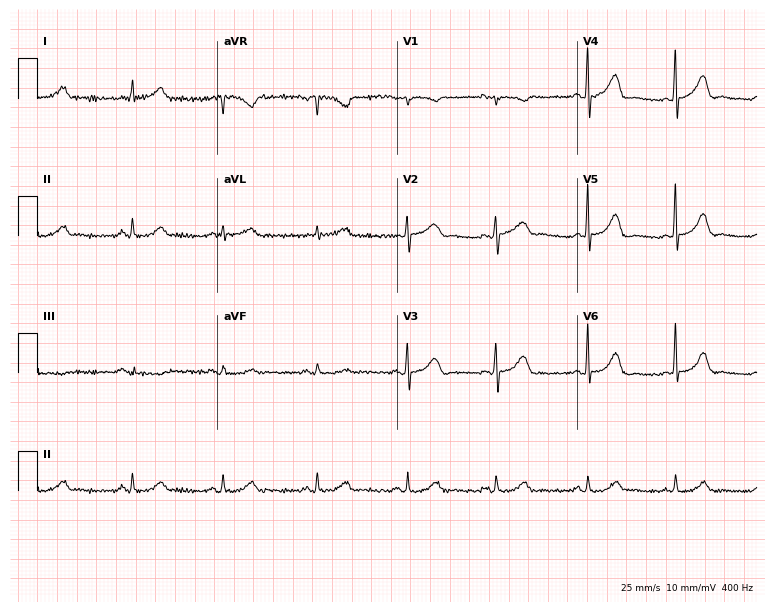
12-lead ECG from a 71-year-old female patient. Recorded interpretation: within normal limits.